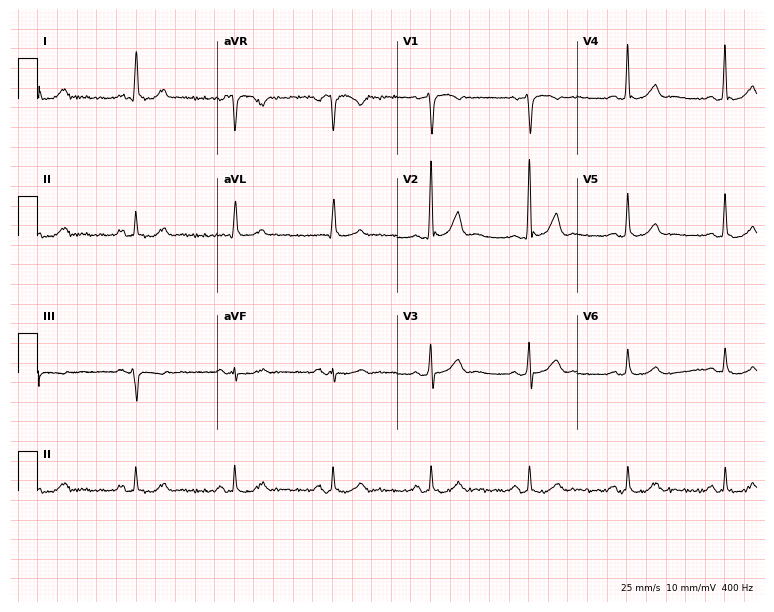
Standard 12-lead ECG recorded from a 65-year-old female patient. None of these six findings is recorded: first-degree AV block, right bundle branch block, left bundle branch block, sinus bradycardia, atrial fibrillation, sinus tachycardia.